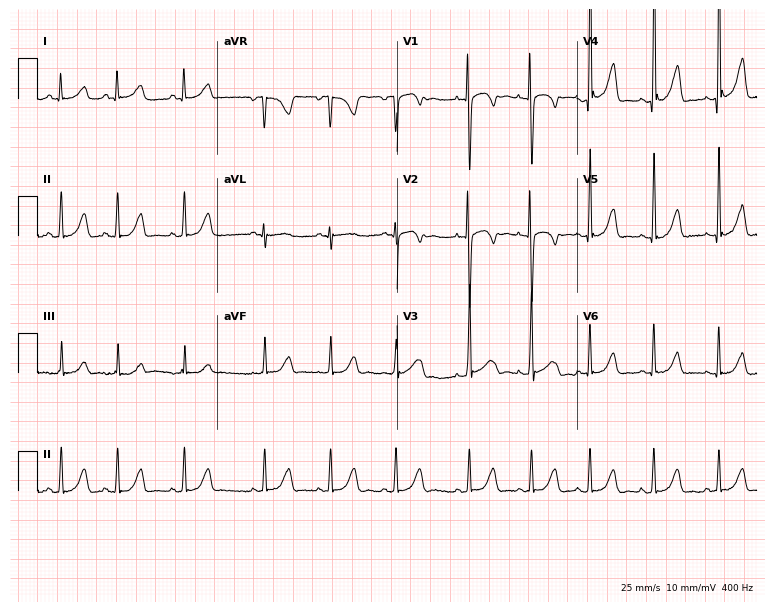
ECG — a 23-year-old woman. Screened for six findings — first-degree AV block, right bundle branch block, left bundle branch block, sinus bradycardia, atrial fibrillation, sinus tachycardia — none is recorded. Other findings, if any, are not listed.